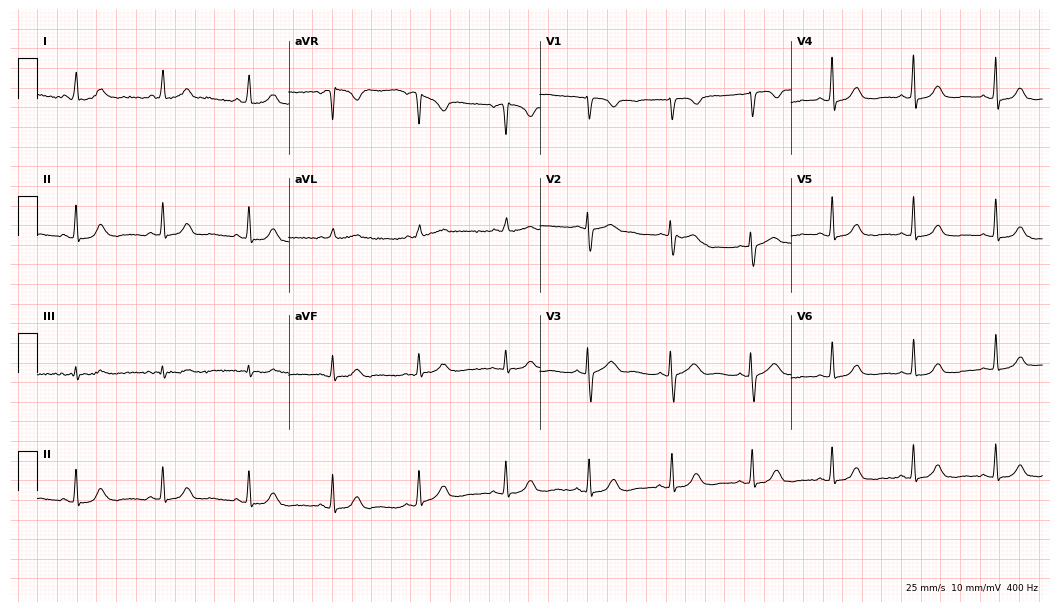
12-lead ECG from a female, 65 years old (10.2-second recording at 400 Hz). Recorded interpretation: within normal limits.